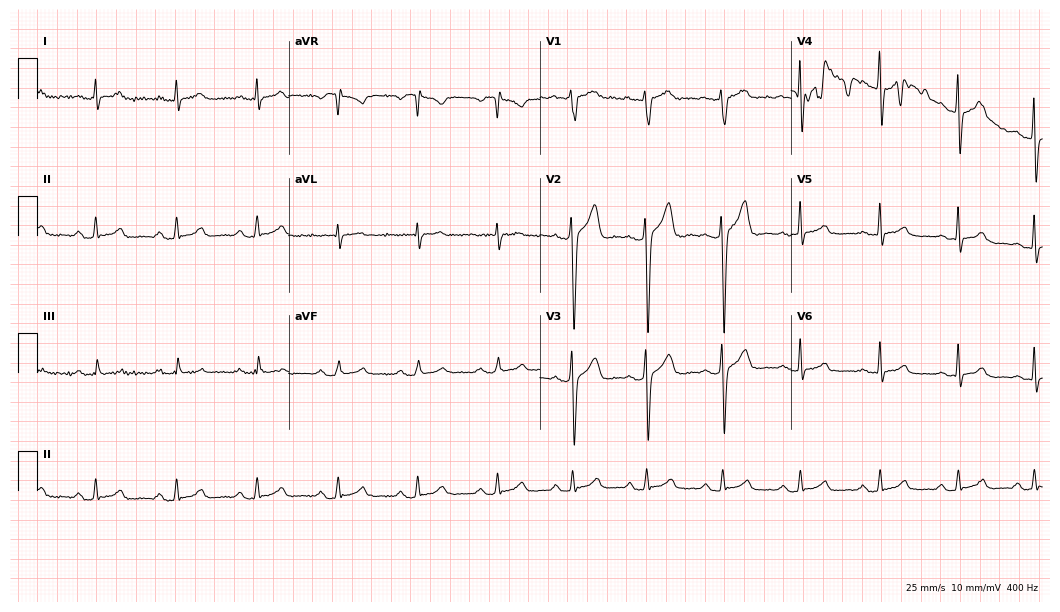
ECG — a 35-year-old male patient. Labelled as a normal ECG.